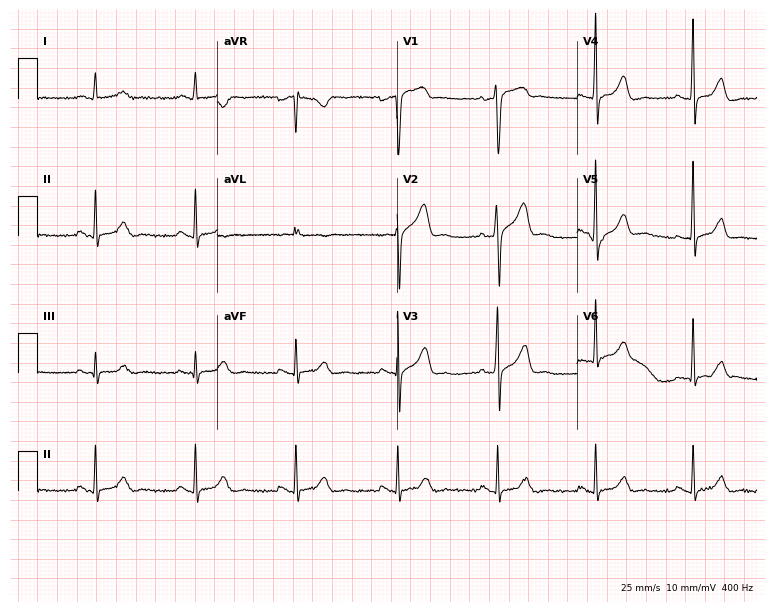
Electrocardiogram (7.3-second recording at 400 Hz), a male, 59 years old. Overall reading on record: normal ECG.